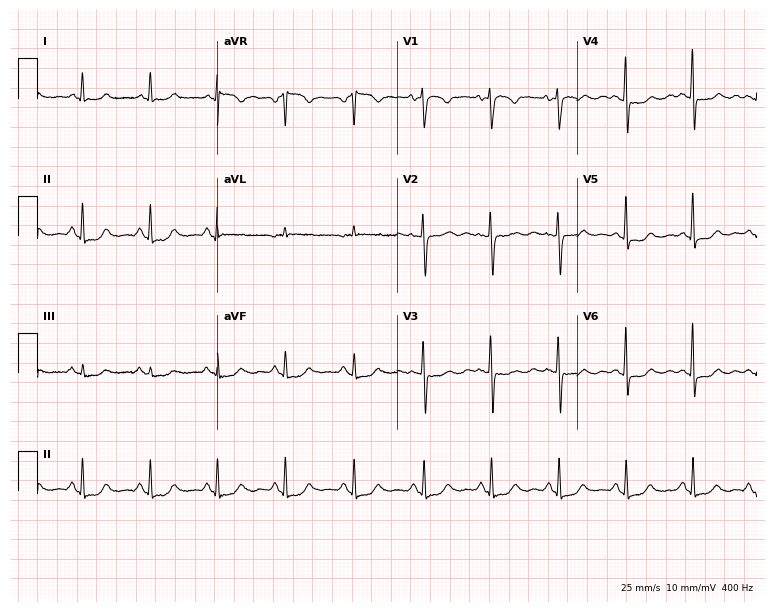
ECG (7.3-second recording at 400 Hz) — a woman, 74 years old. Screened for six findings — first-degree AV block, right bundle branch block (RBBB), left bundle branch block (LBBB), sinus bradycardia, atrial fibrillation (AF), sinus tachycardia — none is recorded.